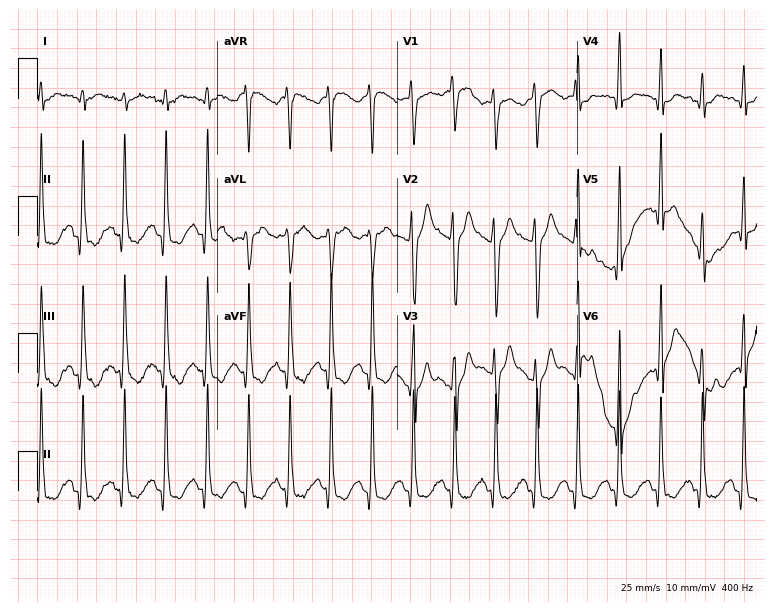
Standard 12-lead ECG recorded from a male, 24 years old (7.3-second recording at 400 Hz). The tracing shows sinus tachycardia (a sinus rate of 100 beats per minute or more).